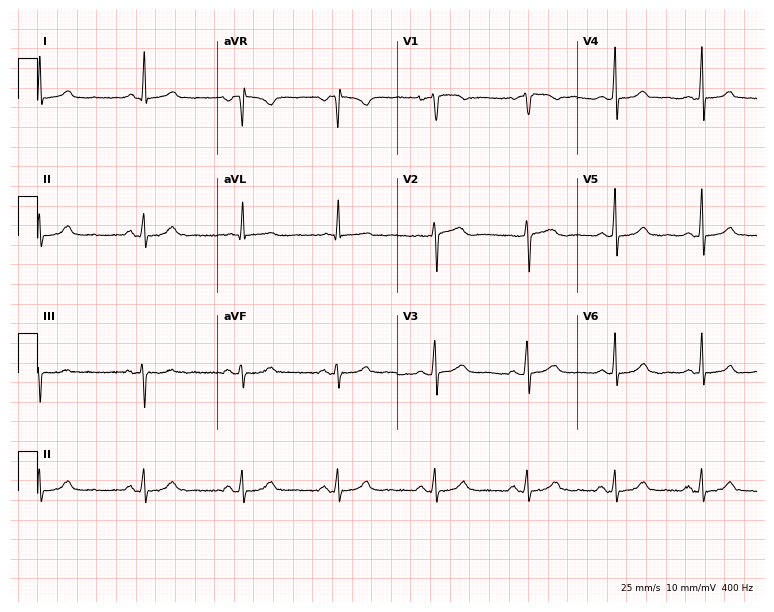
12-lead ECG (7.3-second recording at 400 Hz) from a 43-year-old female. Labelled as a normal ECG.